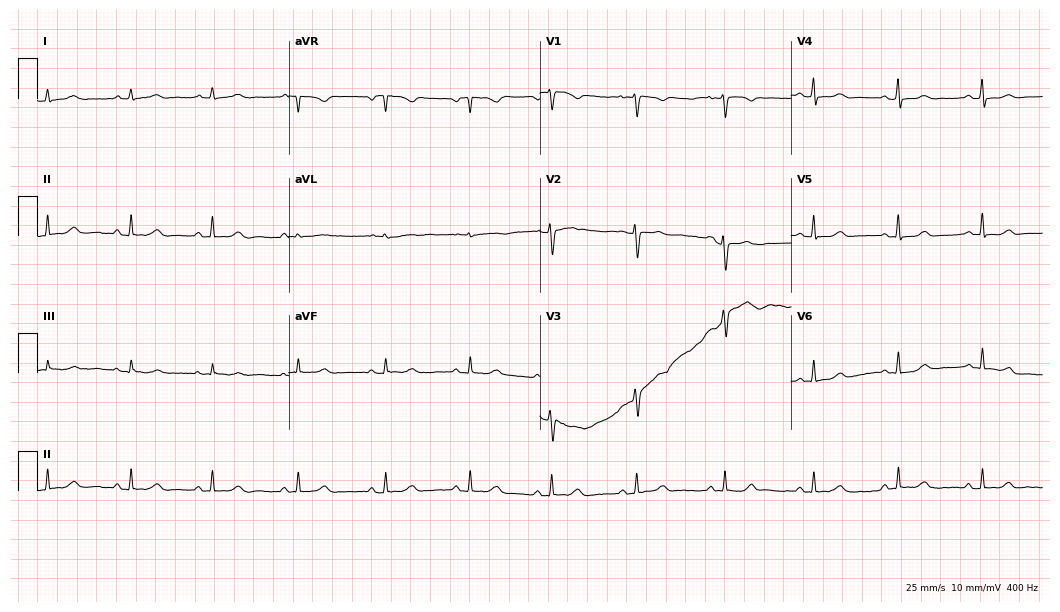
ECG (10.2-second recording at 400 Hz) — a 37-year-old female. Labelled as a normal ECG.